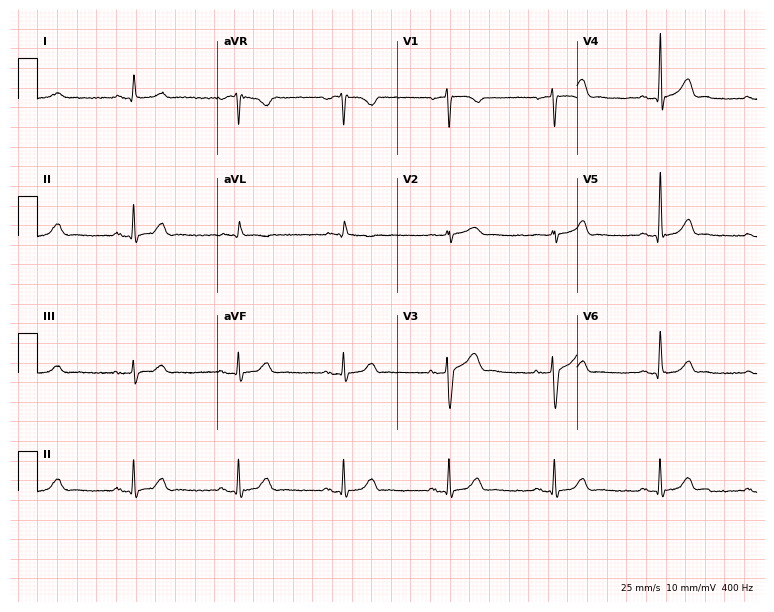
Electrocardiogram (7.3-second recording at 400 Hz), a 72-year-old man. Of the six screened findings (first-degree AV block, right bundle branch block, left bundle branch block, sinus bradycardia, atrial fibrillation, sinus tachycardia), none is recorded.